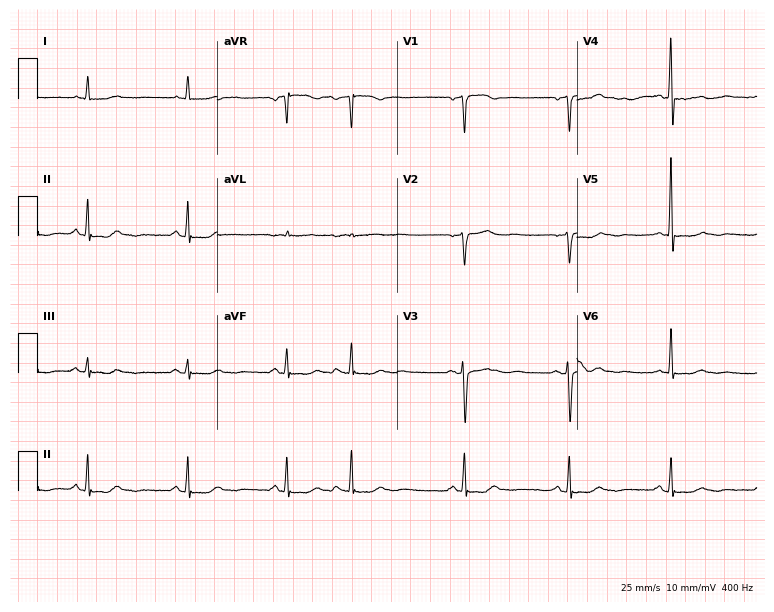
12-lead ECG from a woman, 56 years old (7.3-second recording at 400 Hz). Recorded interpretation: within normal limits.